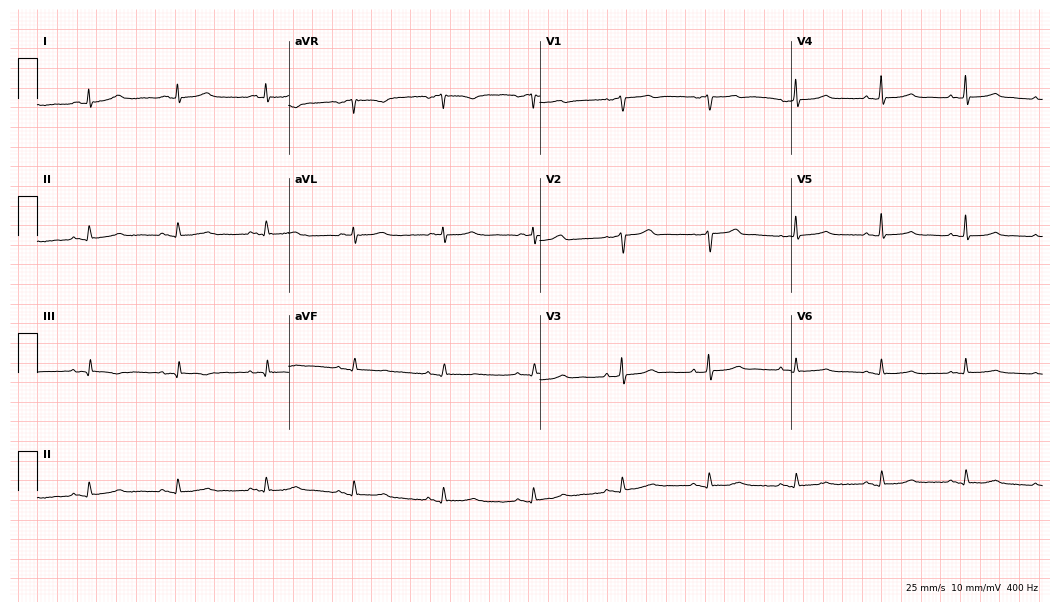
Resting 12-lead electrocardiogram (10.2-second recording at 400 Hz). Patient: a 78-year-old female. Read as a normal ECG.